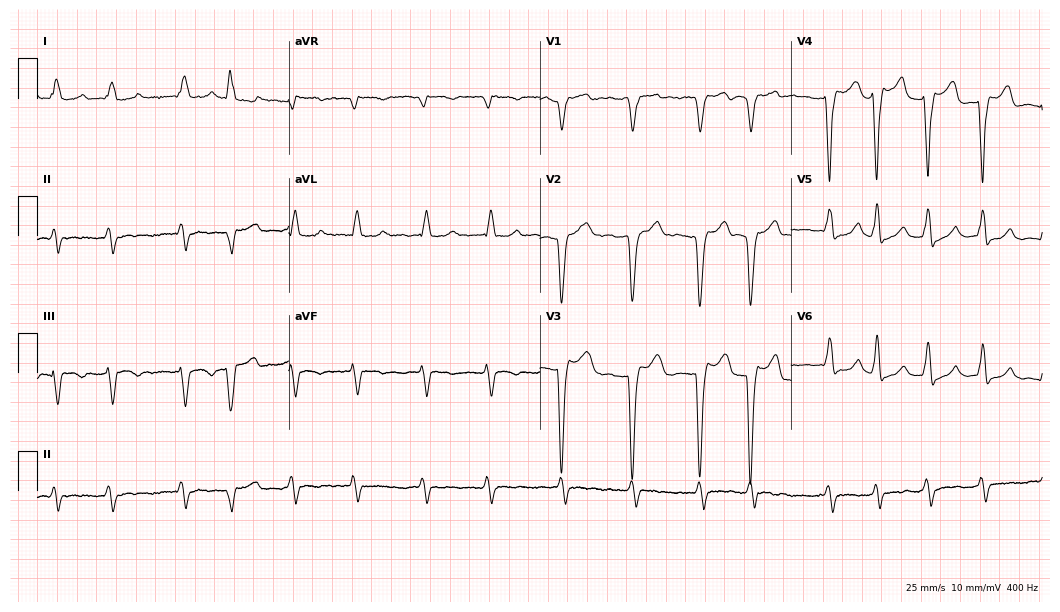
Resting 12-lead electrocardiogram. Patient: a female, 77 years old. The tracing shows left bundle branch block, atrial fibrillation.